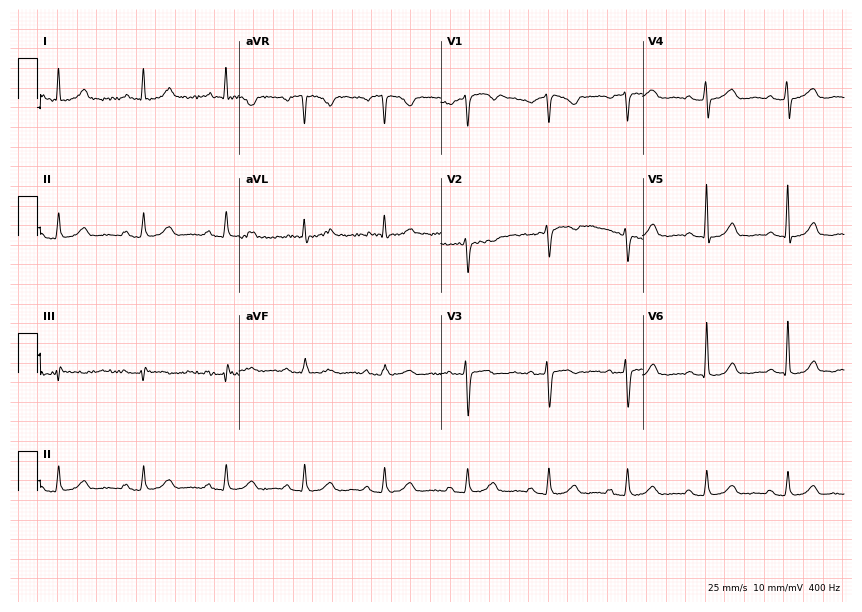
12-lead ECG from an 81-year-old female patient. Labelled as a normal ECG.